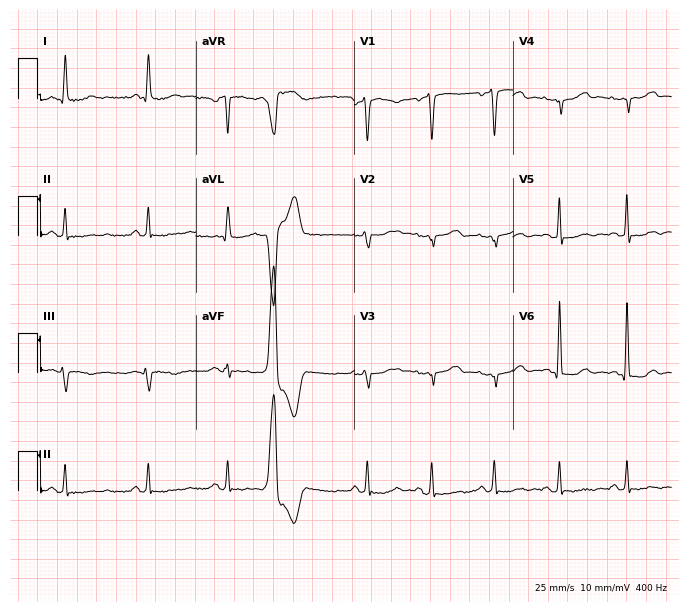
Electrocardiogram, a female patient, 59 years old. Of the six screened findings (first-degree AV block, right bundle branch block, left bundle branch block, sinus bradycardia, atrial fibrillation, sinus tachycardia), none is recorded.